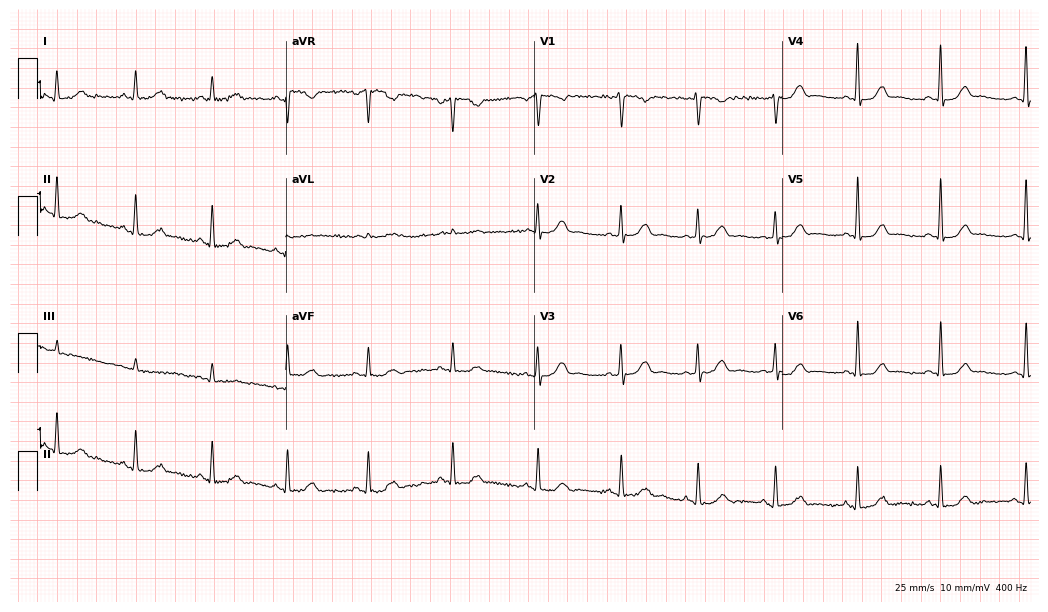
Electrocardiogram (10.1-second recording at 400 Hz), a 55-year-old female patient. Of the six screened findings (first-degree AV block, right bundle branch block (RBBB), left bundle branch block (LBBB), sinus bradycardia, atrial fibrillation (AF), sinus tachycardia), none is recorded. Only these six findings were labelled.